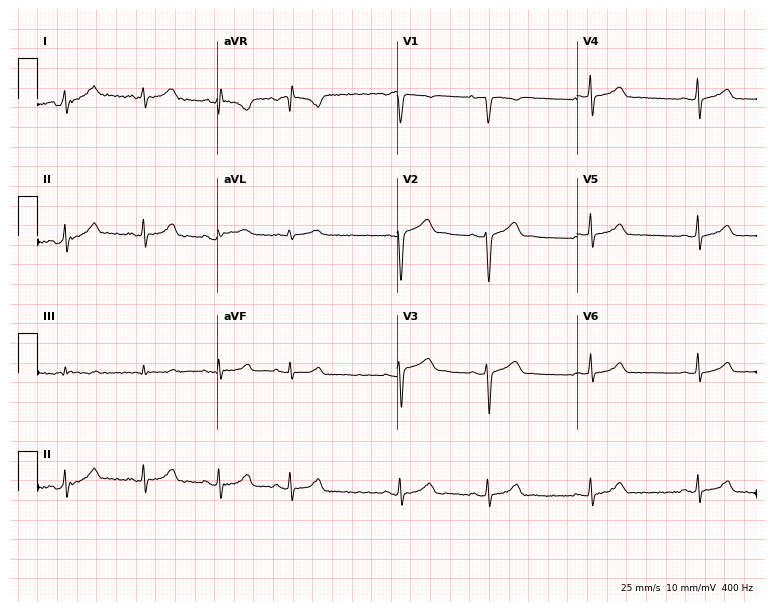
Electrocardiogram (7.3-second recording at 400 Hz), a 27-year-old woman. Of the six screened findings (first-degree AV block, right bundle branch block, left bundle branch block, sinus bradycardia, atrial fibrillation, sinus tachycardia), none is recorded.